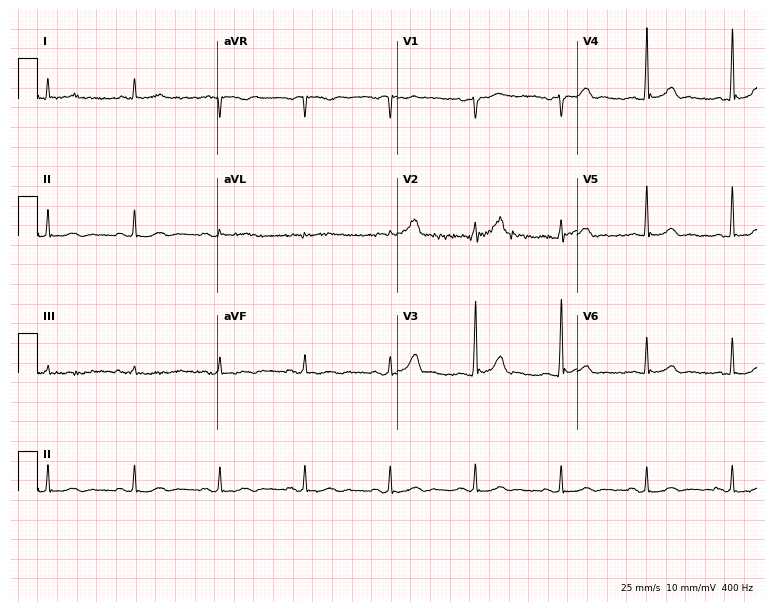
Standard 12-lead ECG recorded from a man, 51 years old (7.3-second recording at 400 Hz). Read as a normal ECG.